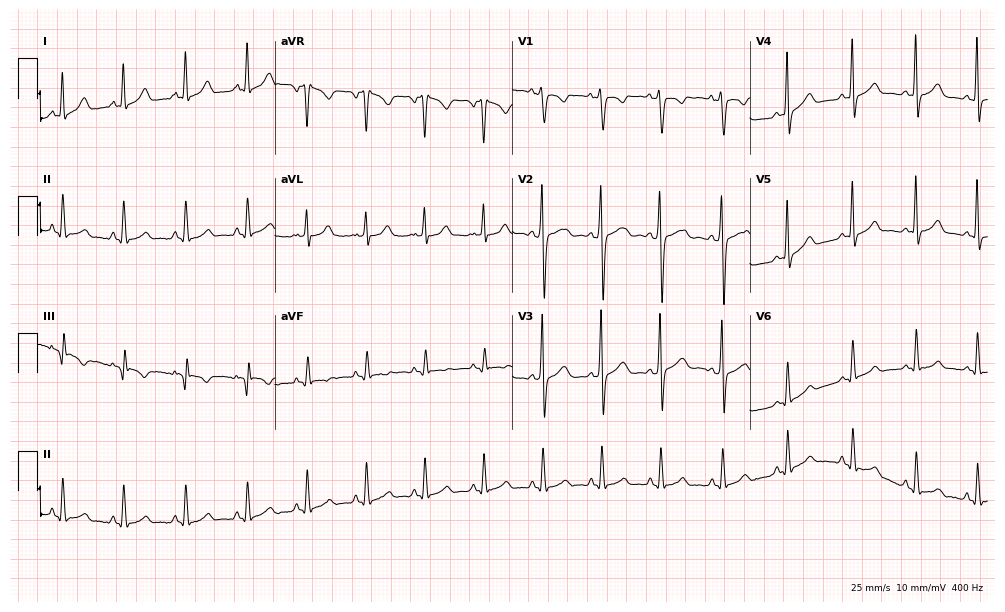
Resting 12-lead electrocardiogram. Patient: a female, 27 years old. Read as a normal ECG.